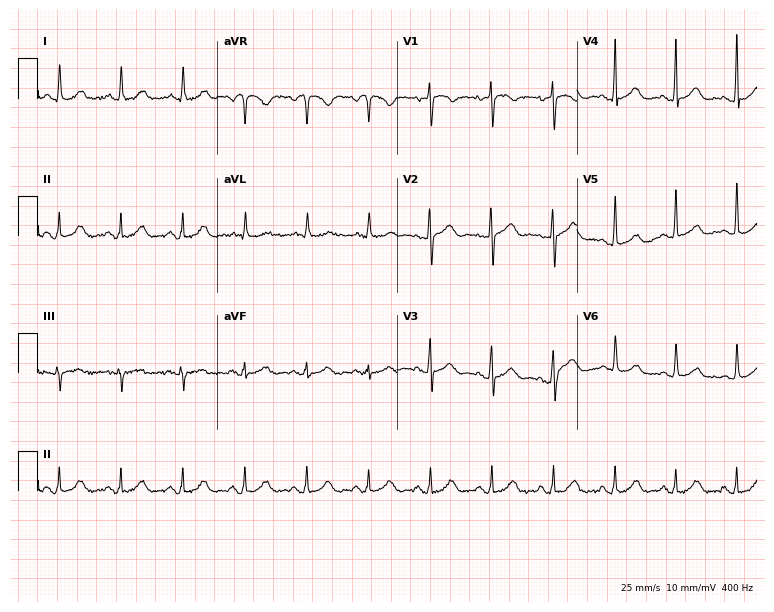
12-lead ECG from a female, 73 years old. Labelled as a normal ECG.